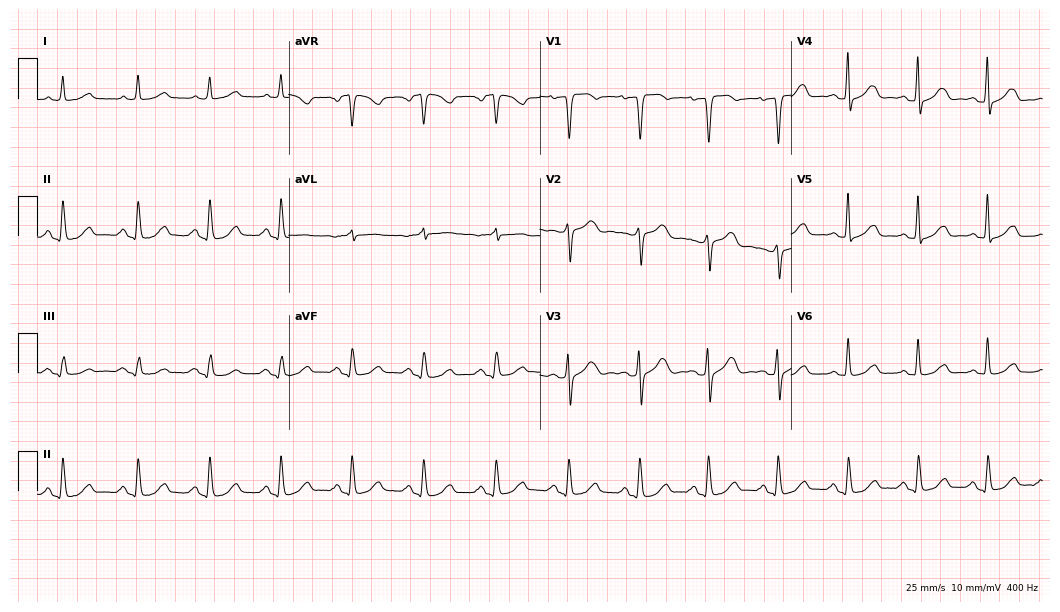
Resting 12-lead electrocardiogram (10.2-second recording at 400 Hz). Patient: a female, 78 years old. None of these six findings is recorded: first-degree AV block, right bundle branch block, left bundle branch block, sinus bradycardia, atrial fibrillation, sinus tachycardia. Other findings, if any, are not listed.